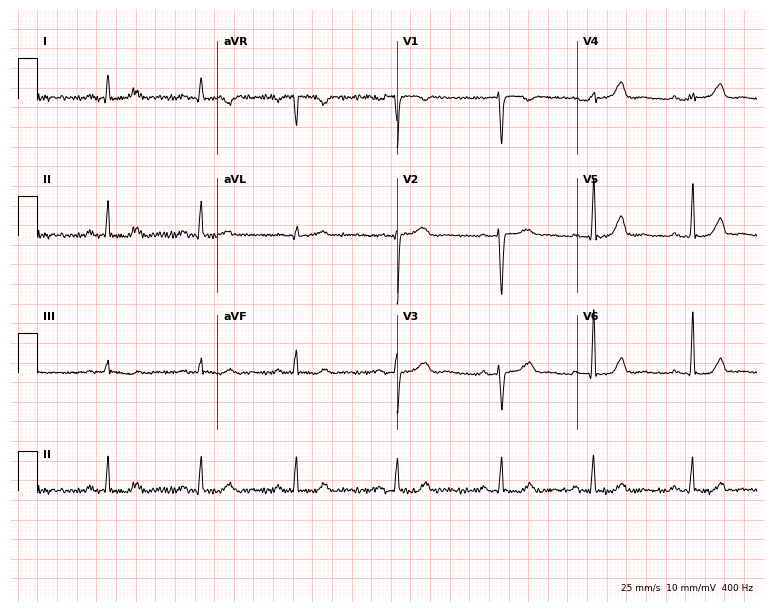
Resting 12-lead electrocardiogram. Patient: a female, 39 years old. None of these six findings is recorded: first-degree AV block, right bundle branch block, left bundle branch block, sinus bradycardia, atrial fibrillation, sinus tachycardia.